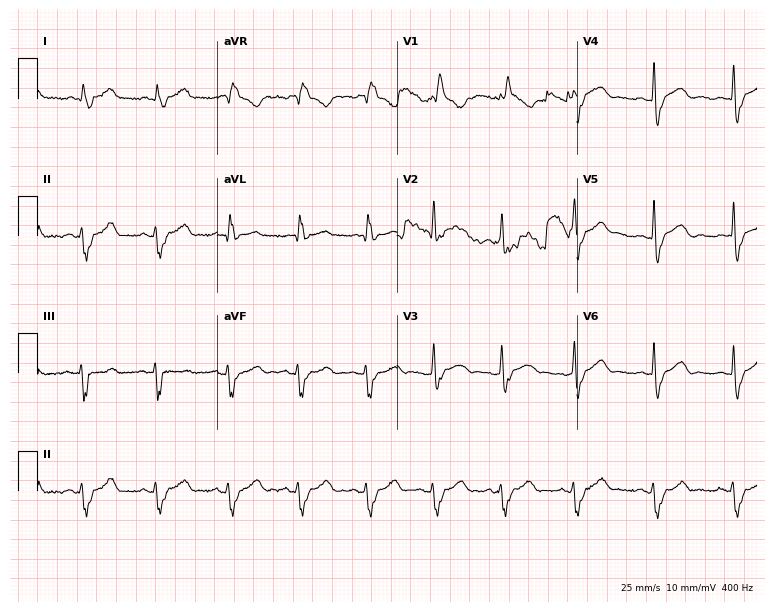
Electrocardiogram, a male, 79 years old. Of the six screened findings (first-degree AV block, right bundle branch block (RBBB), left bundle branch block (LBBB), sinus bradycardia, atrial fibrillation (AF), sinus tachycardia), none is recorded. Findings outside these six are not listed.